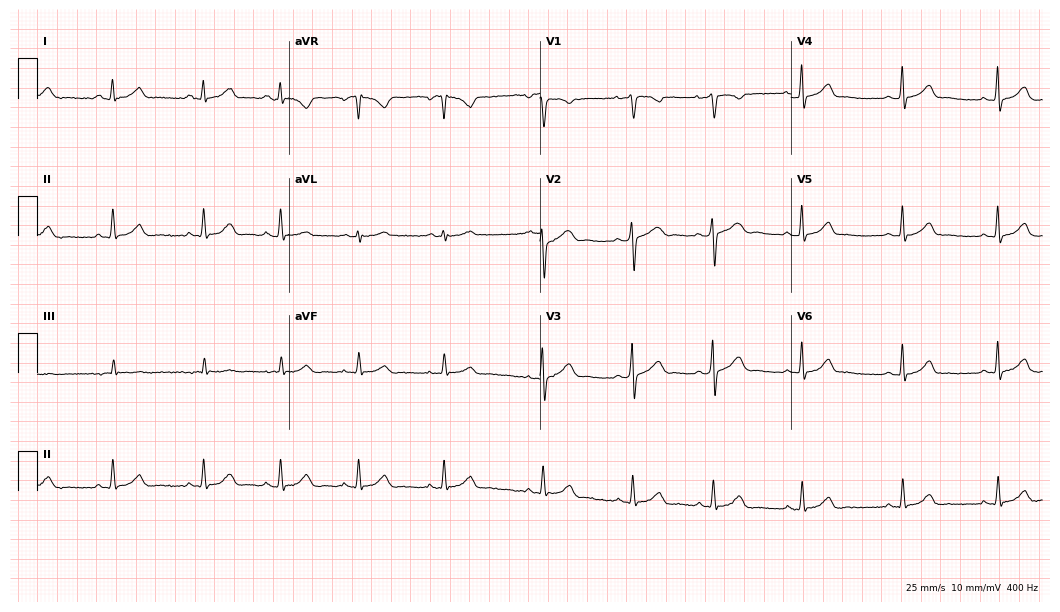
12-lead ECG from a 21-year-old female patient (10.2-second recording at 400 Hz). Recorded interpretation: within normal limits.